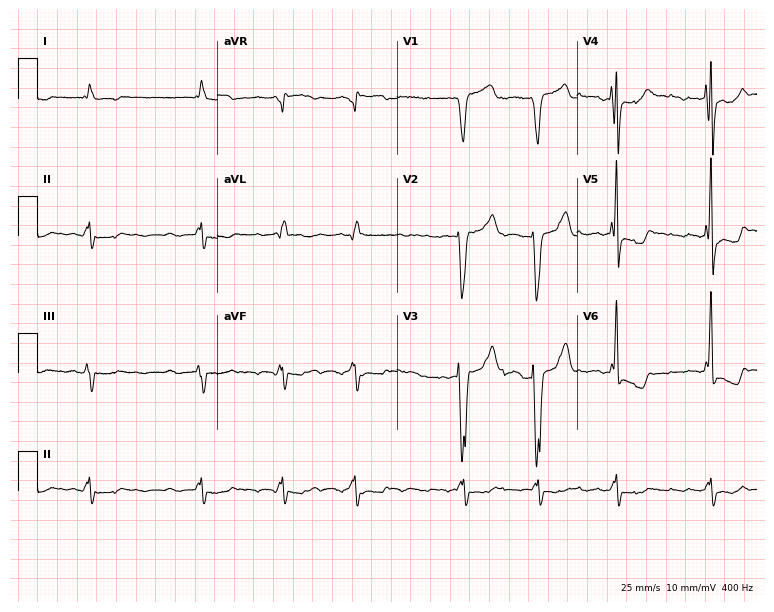
12-lead ECG from an 80-year-old man. Findings include left bundle branch block, atrial fibrillation.